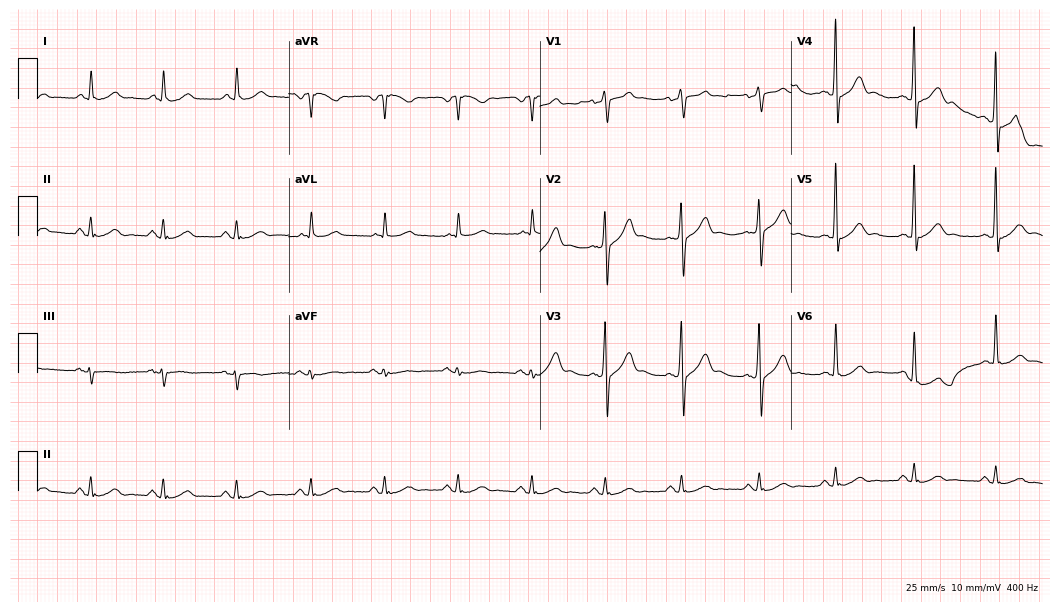
Standard 12-lead ECG recorded from a male patient, 49 years old (10.2-second recording at 400 Hz). None of these six findings is recorded: first-degree AV block, right bundle branch block, left bundle branch block, sinus bradycardia, atrial fibrillation, sinus tachycardia.